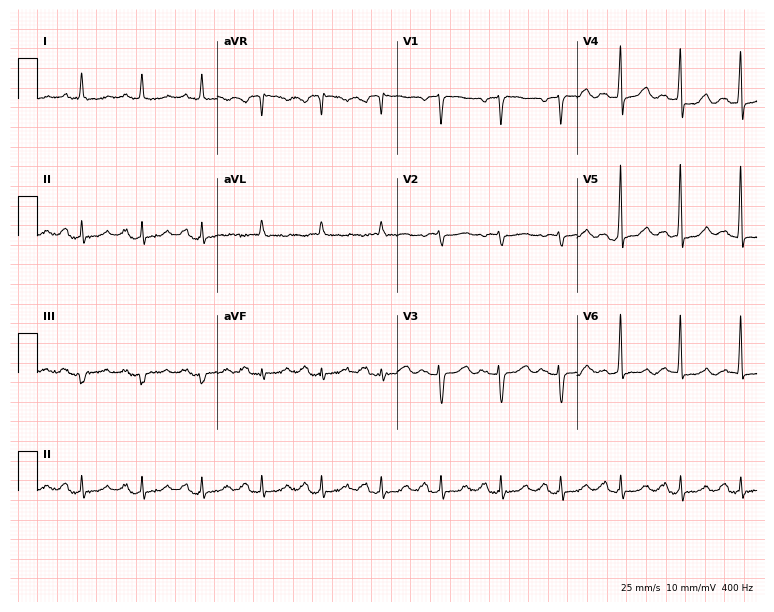
Resting 12-lead electrocardiogram. Patient: a woman, 80 years old. None of these six findings is recorded: first-degree AV block, right bundle branch block (RBBB), left bundle branch block (LBBB), sinus bradycardia, atrial fibrillation (AF), sinus tachycardia. Findings outside these six are not listed.